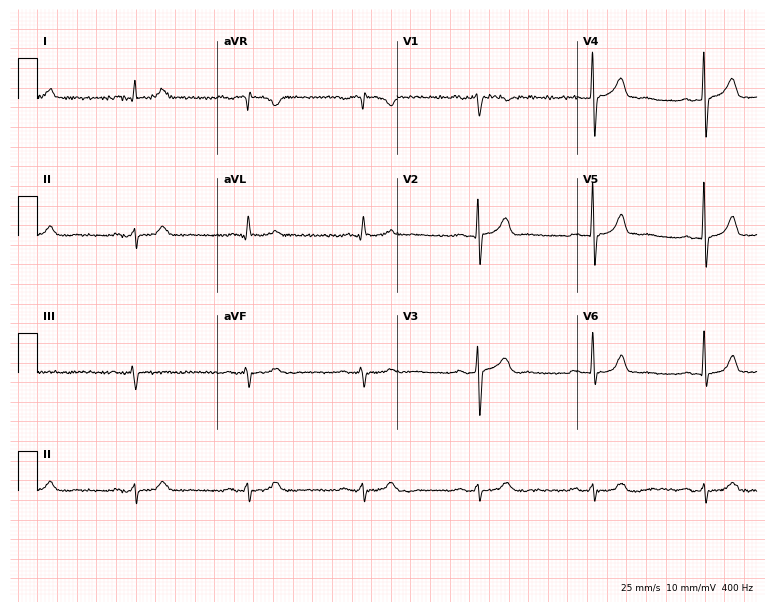
Standard 12-lead ECG recorded from a male patient, 69 years old. None of these six findings is recorded: first-degree AV block, right bundle branch block, left bundle branch block, sinus bradycardia, atrial fibrillation, sinus tachycardia.